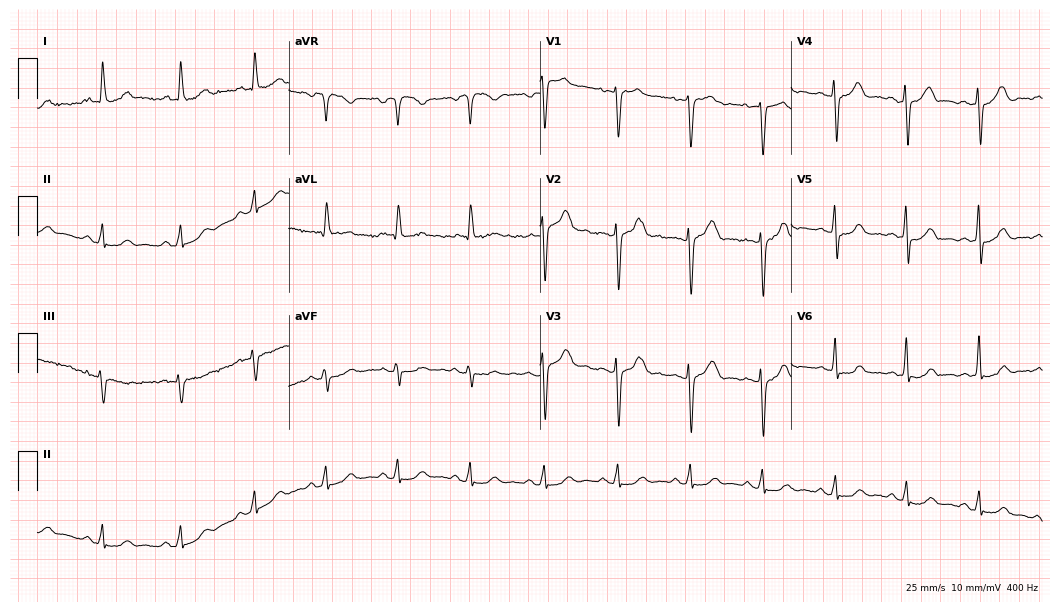
ECG — a 48-year-old female. Screened for six findings — first-degree AV block, right bundle branch block, left bundle branch block, sinus bradycardia, atrial fibrillation, sinus tachycardia — none is recorded.